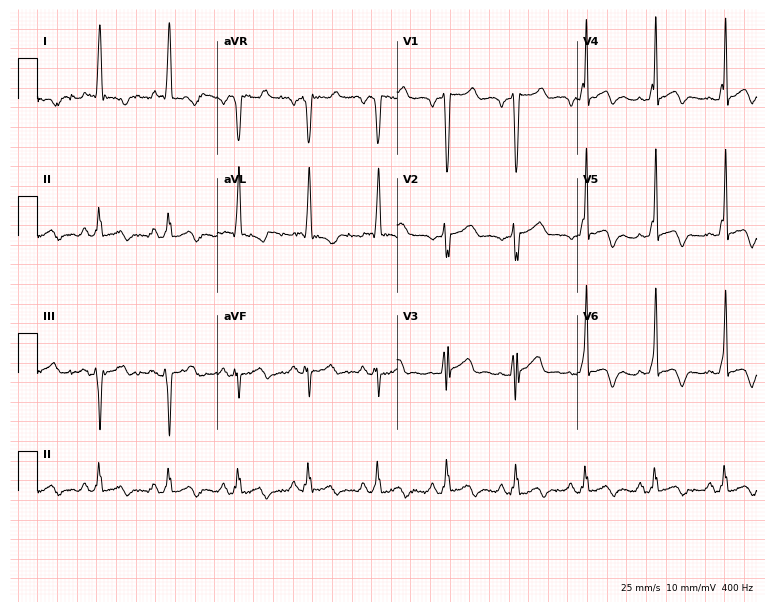
12-lead ECG from a female, 74 years old (7.3-second recording at 400 Hz). No first-degree AV block, right bundle branch block, left bundle branch block, sinus bradycardia, atrial fibrillation or sinus tachycardia recorded for this tracing. Other findings, if any, are not listed.